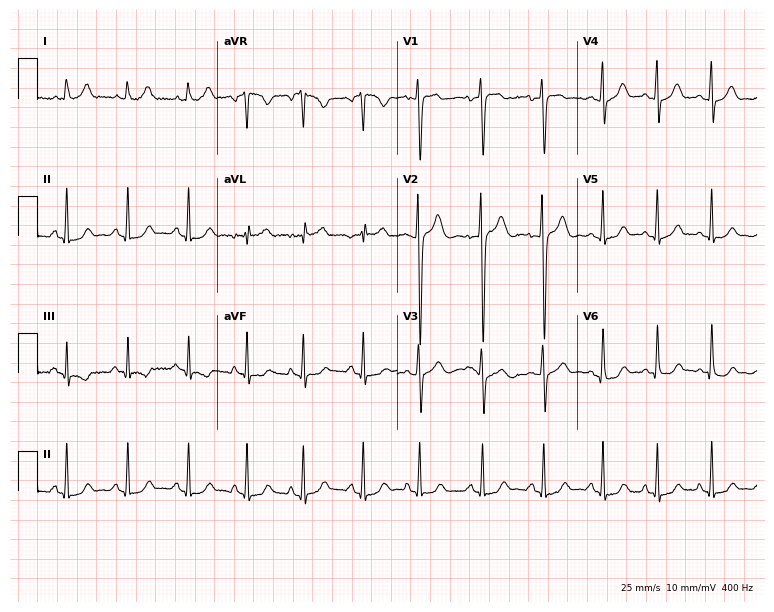
12-lead ECG from a 19-year-old female. Recorded interpretation: within normal limits.